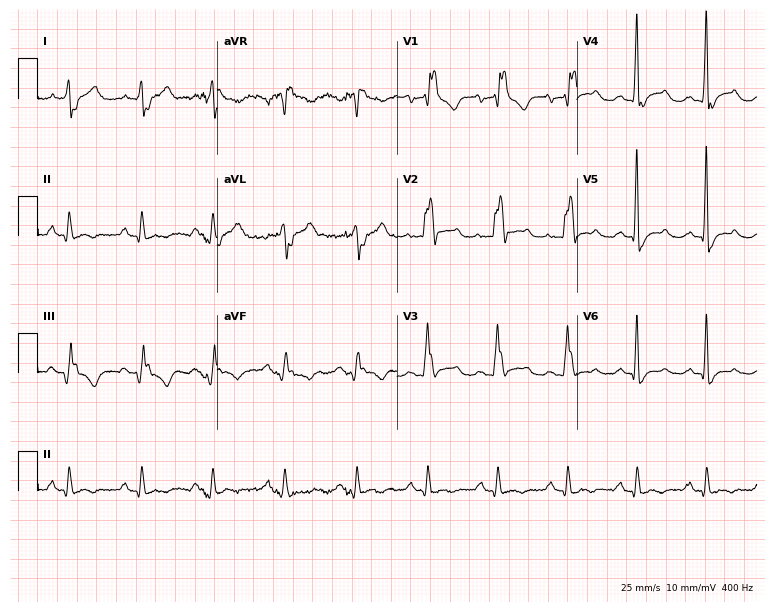
Resting 12-lead electrocardiogram. Patient: a man, 64 years old. The tracing shows right bundle branch block.